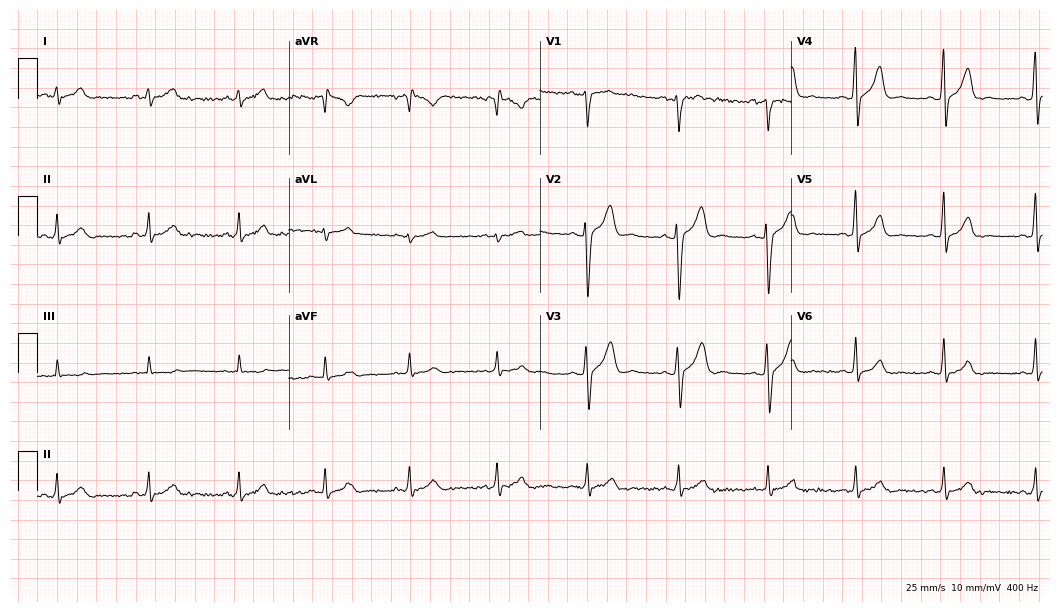
12-lead ECG from a male, 25 years old. Recorded interpretation: within normal limits.